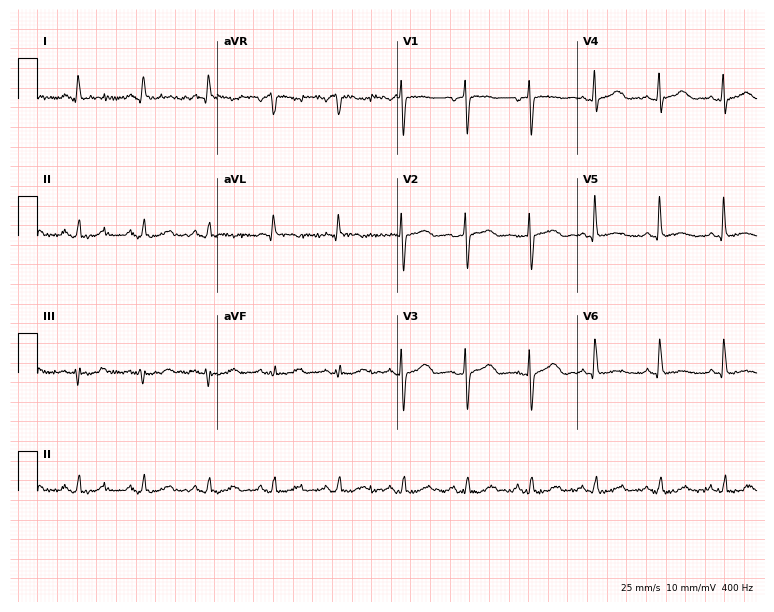
Standard 12-lead ECG recorded from a 68-year-old female (7.3-second recording at 400 Hz). None of these six findings is recorded: first-degree AV block, right bundle branch block (RBBB), left bundle branch block (LBBB), sinus bradycardia, atrial fibrillation (AF), sinus tachycardia.